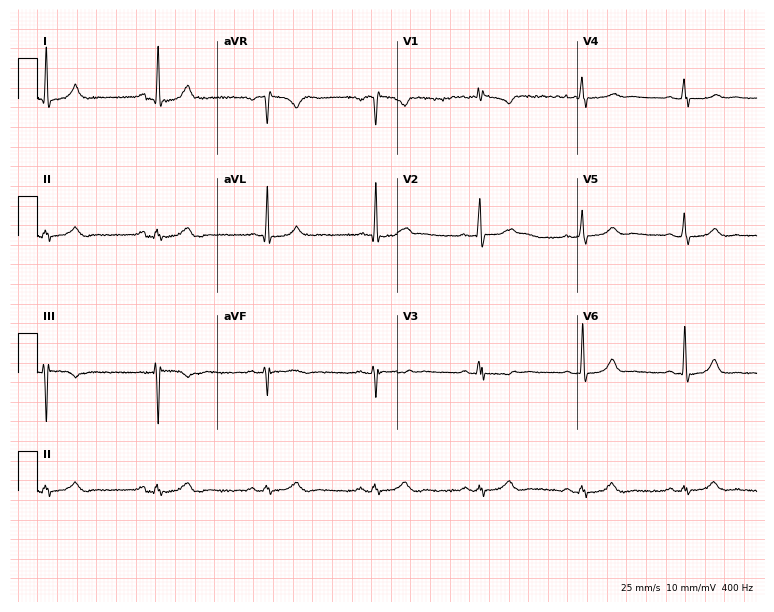
Electrocardiogram, a 44-year-old man. Overall reading on record: normal ECG.